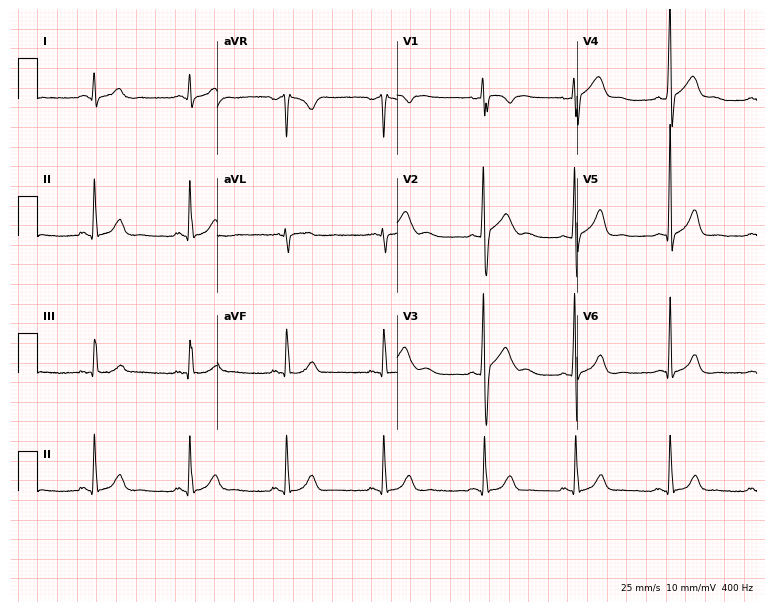
12-lead ECG from a male patient, 27 years old (7.3-second recording at 400 Hz). Recorded interpretation: within normal limits.